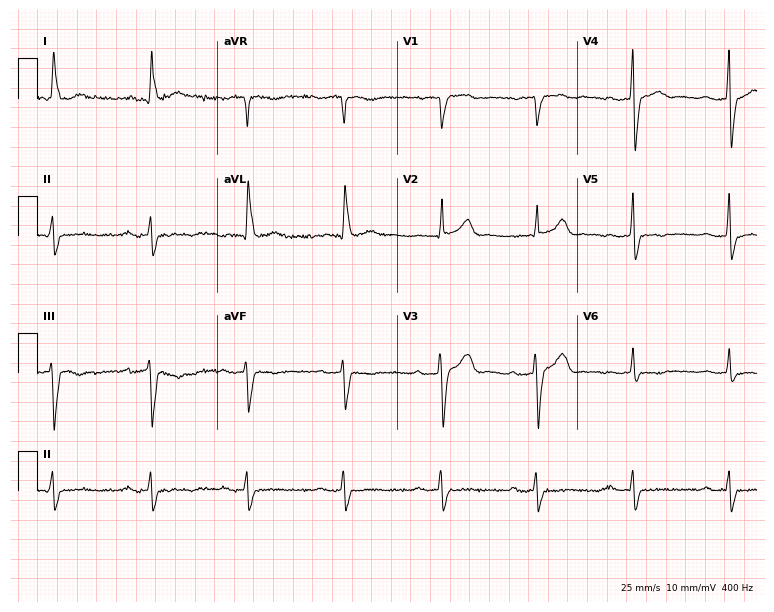
Electrocardiogram, a man, 76 years old. Interpretation includes first-degree AV block.